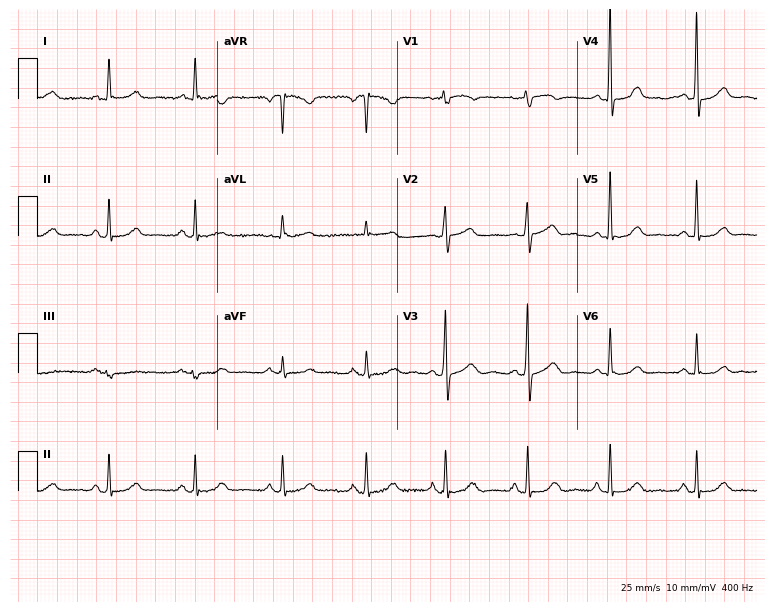
Standard 12-lead ECG recorded from a female patient, 66 years old (7.3-second recording at 400 Hz). Read as a normal ECG.